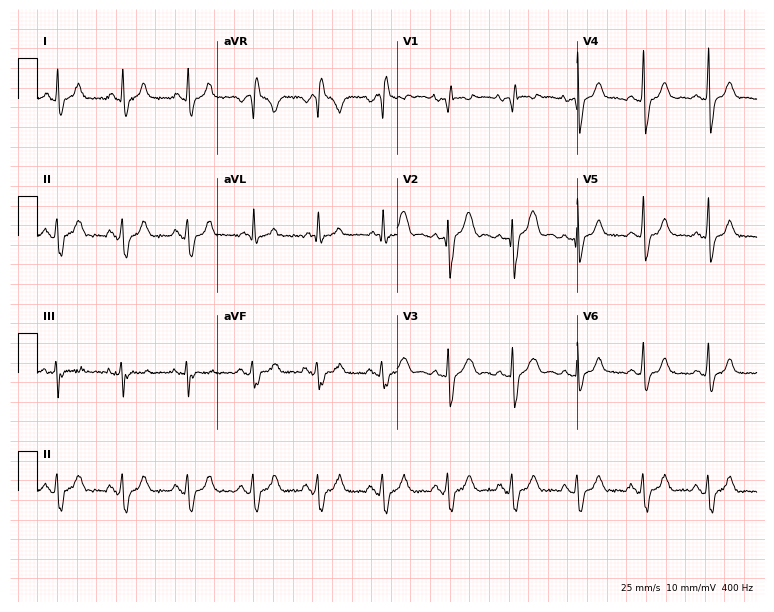
12-lead ECG from a female patient, 39 years old. No first-degree AV block, right bundle branch block (RBBB), left bundle branch block (LBBB), sinus bradycardia, atrial fibrillation (AF) or sinus tachycardia recorded for this tracing. Findings outside these six are not listed.